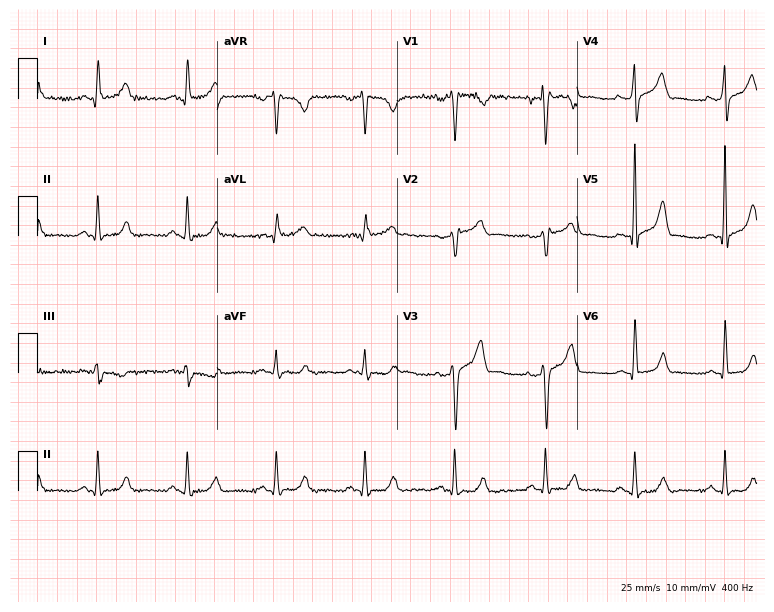
Resting 12-lead electrocardiogram. Patient: a male, 47 years old. None of these six findings is recorded: first-degree AV block, right bundle branch block, left bundle branch block, sinus bradycardia, atrial fibrillation, sinus tachycardia. Other findings, if any, are not listed.